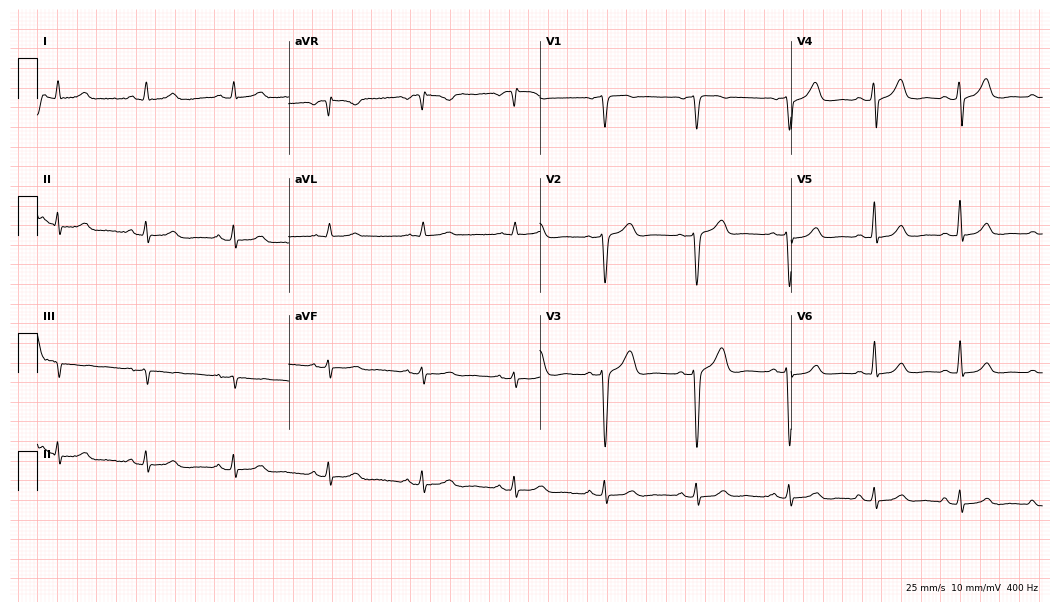
Standard 12-lead ECG recorded from a male, 67 years old. Read as a normal ECG.